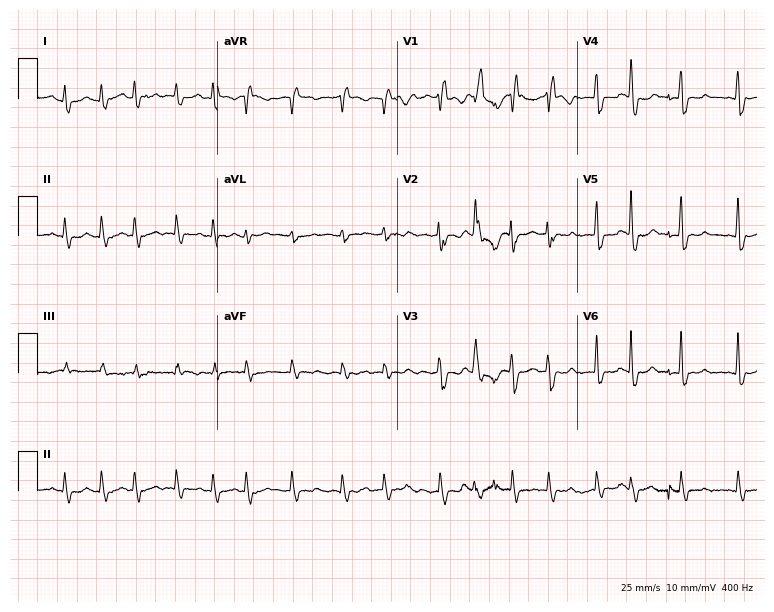
Electrocardiogram (7.3-second recording at 400 Hz), a 64-year-old woman. Interpretation includes atrial fibrillation (AF).